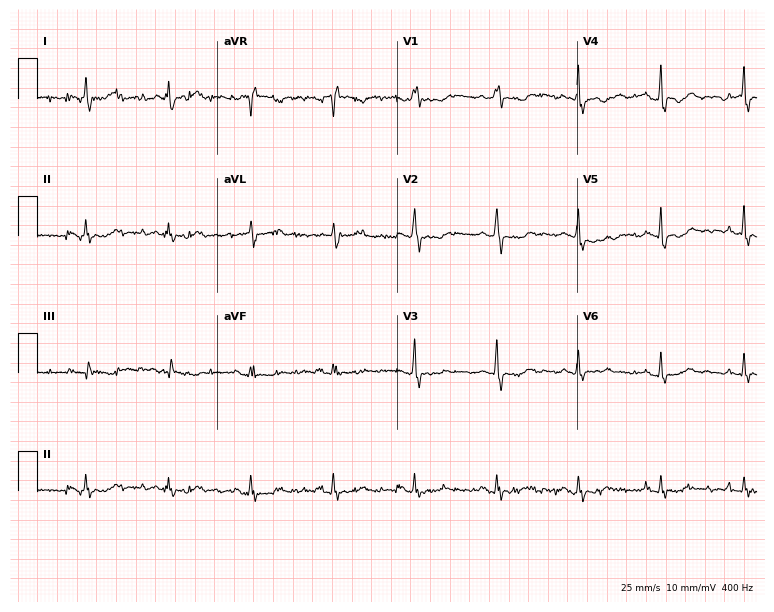
Resting 12-lead electrocardiogram. Patient: a female, 66 years old. None of these six findings is recorded: first-degree AV block, right bundle branch block, left bundle branch block, sinus bradycardia, atrial fibrillation, sinus tachycardia. Only these six findings were labelled.